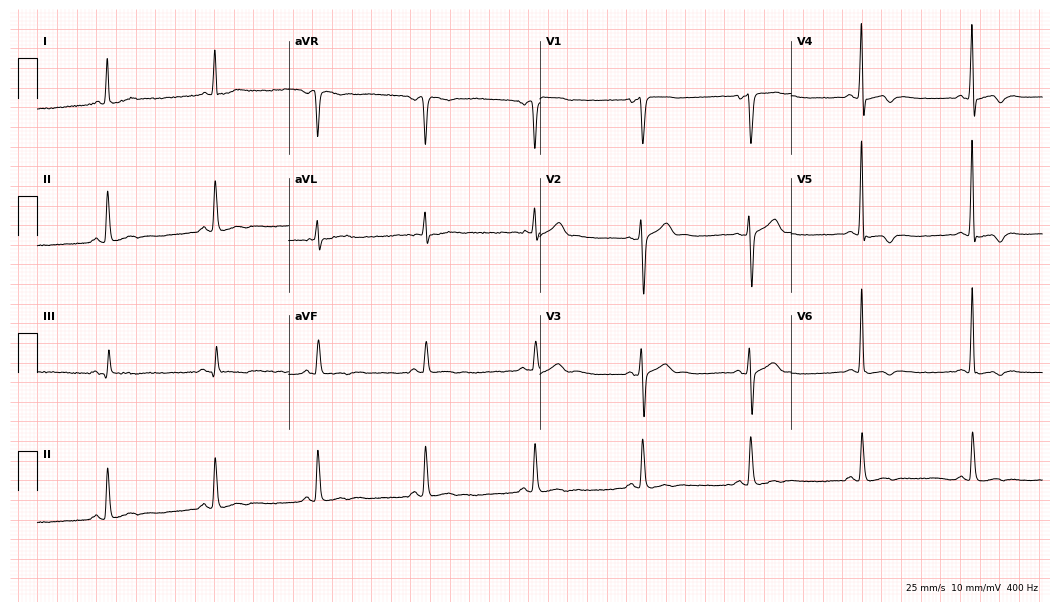
Standard 12-lead ECG recorded from a 57-year-old man. None of these six findings is recorded: first-degree AV block, right bundle branch block, left bundle branch block, sinus bradycardia, atrial fibrillation, sinus tachycardia. Other findings, if any, are not listed.